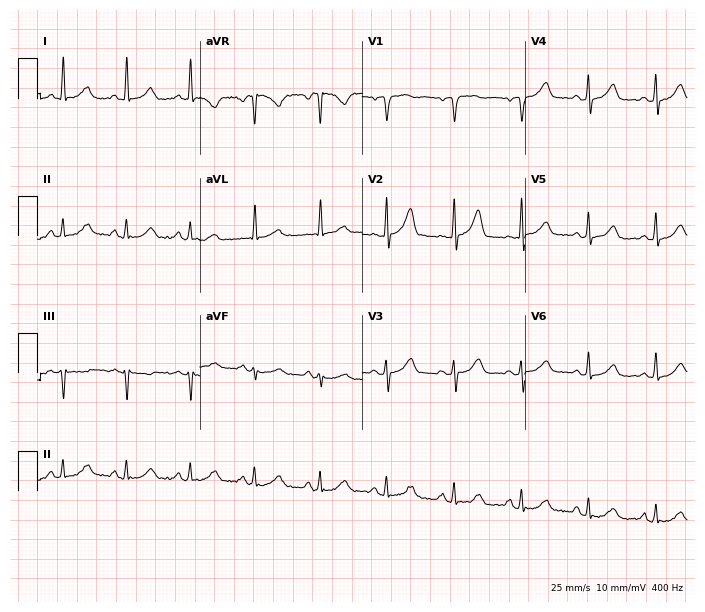
12-lead ECG from an 80-year-old female patient. Recorded interpretation: within normal limits.